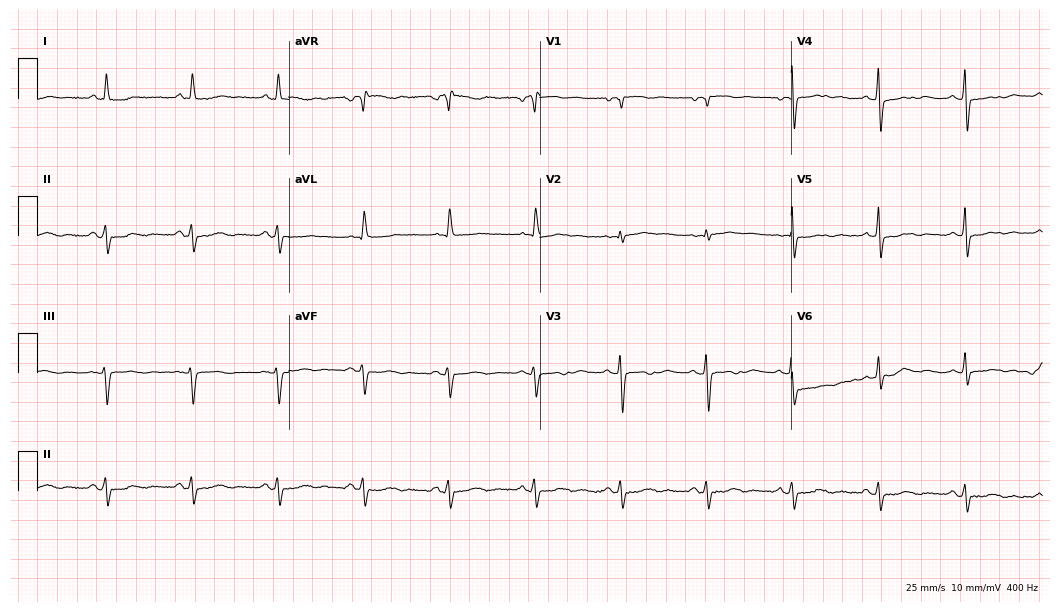
Electrocardiogram, a 69-year-old female. Of the six screened findings (first-degree AV block, right bundle branch block, left bundle branch block, sinus bradycardia, atrial fibrillation, sinus tachycardia), none is recorded. Findings outside these six are not listed.